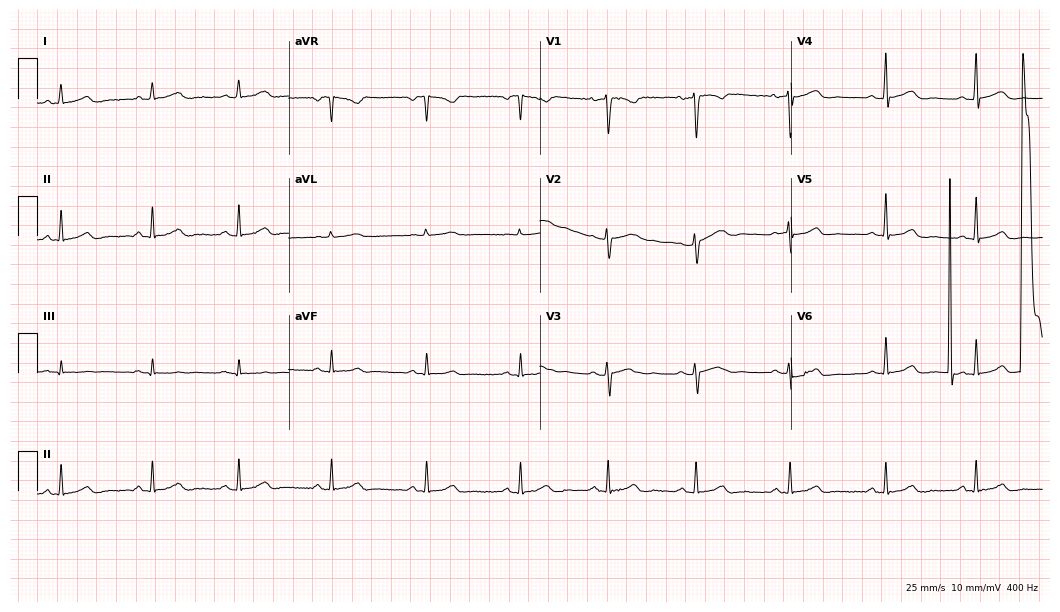
Standard 12-lead ECG recorded from a 27-year-old female. None of these six findings is recorded: first-degree AV block, right bundle branch block, left bundle branch block, sinus bradycardia, atrial fibrillation, sinus tachycardia. Findings outside these six are not listed.